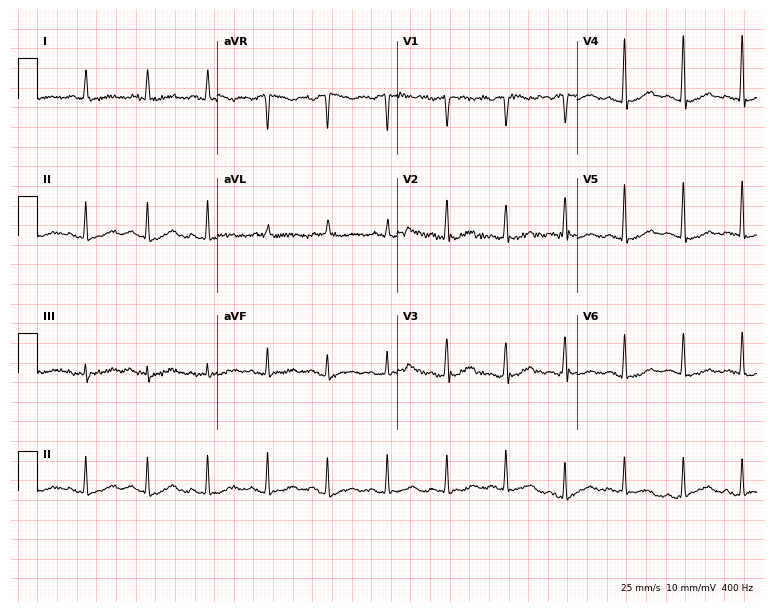
12-lead ECG from a man, 43 years old. No first-degree AV block, right bundle branch block, left bundle branch block, sinus bradycardia, atrial fibrillation or sinus tachycardia recorded for this tracing.